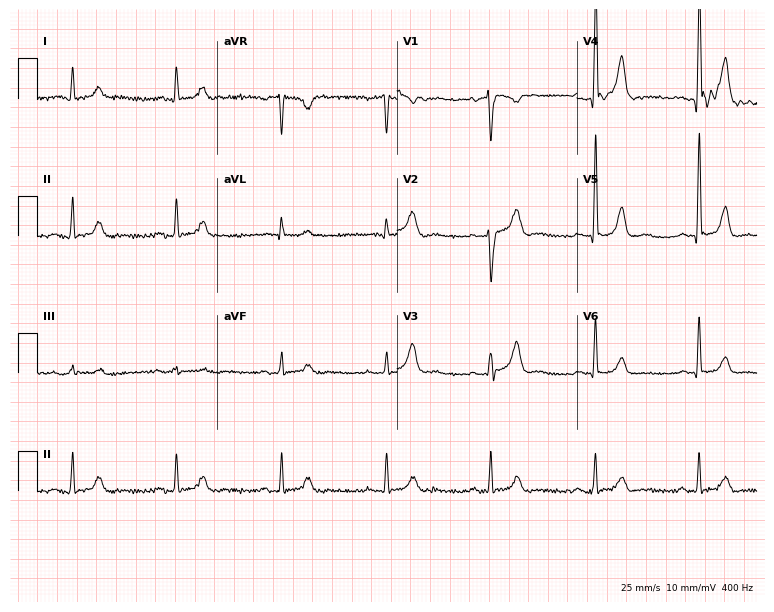
12-lead ECG from a 73-year-old male patient. Screened for six findings — first-degree AV block, right bundle branch block, left bundle branch block, sinus bradycardia, atrial fibrillation, sinus tachycardia — none is recorded. Findings outside these six are not listed.